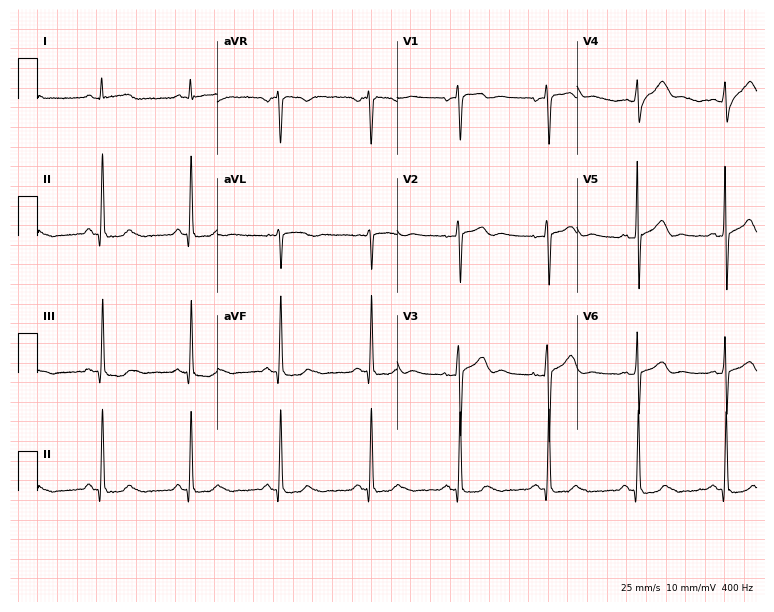
Electrocardiogram, a male, 44 years old. Overall reading on record: normal ECG.